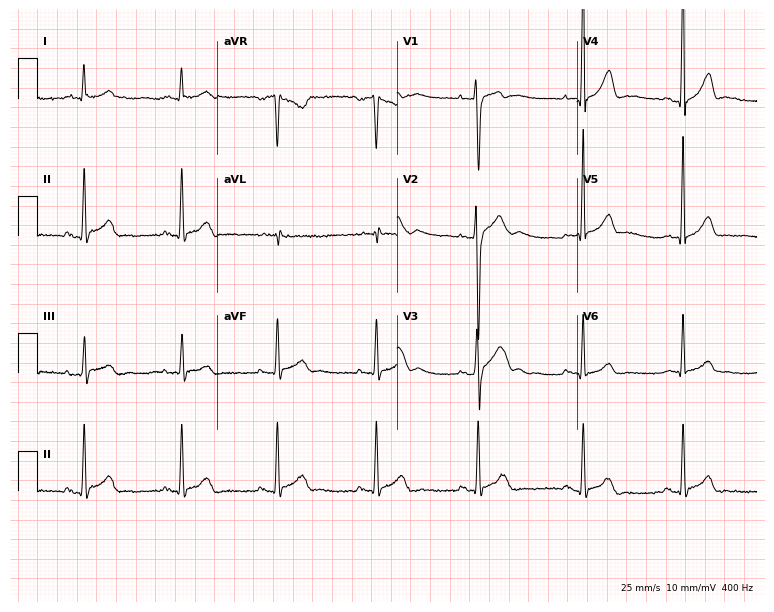
ECG (7.3-second recording at 400 Hz) — a male, 26 years old. Labelled as a normal ECG.